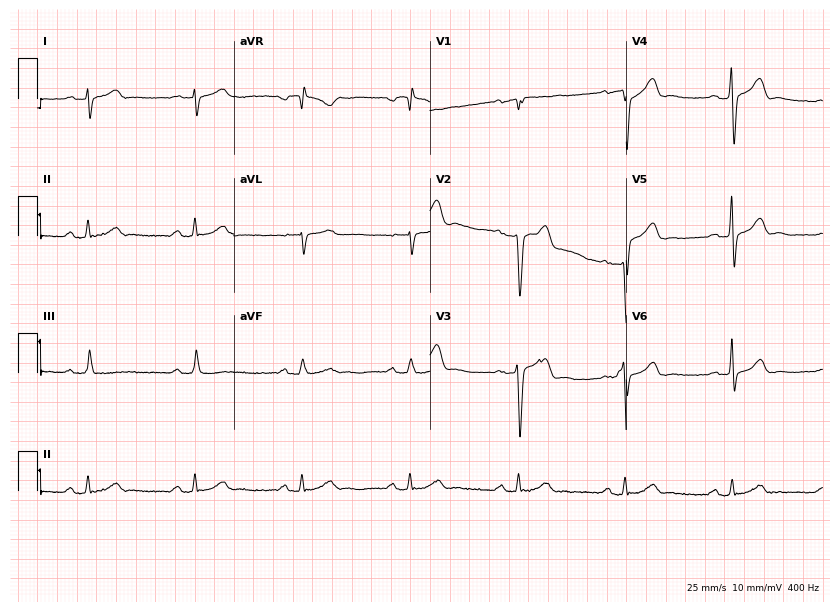
12-lead ECG (8-second recording at 400 Hz) from a woman, 47 years old. Screened for six findings — first-degree AV block, right bundle branch block (RBBB), left bundle branch block (LBBB), sinus bradycardia, atrial fibrillation (AF), sinus tachycardia — none is recorded.